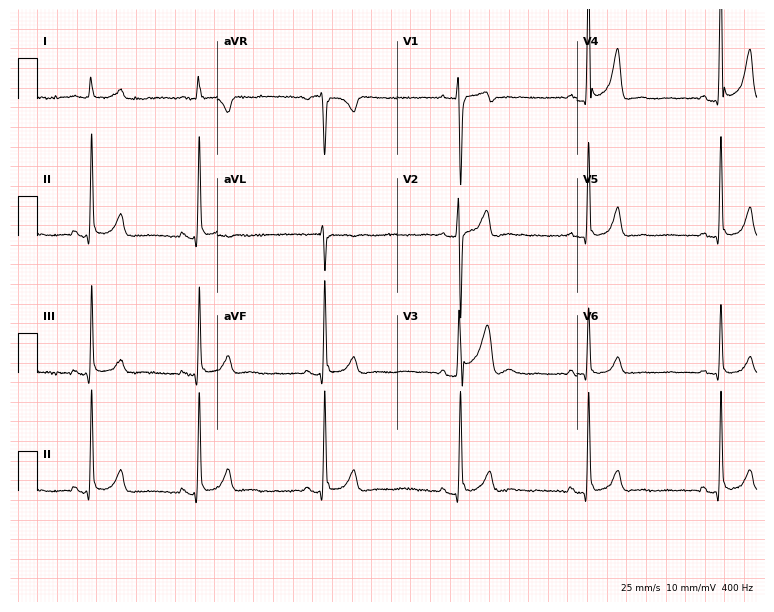
12-lead ECG (7.3-second recording at 400 Hz) from a 38-year-old male patient. Findings include sinus bradycardia (a sinus rate of 50 beats per minute or less).